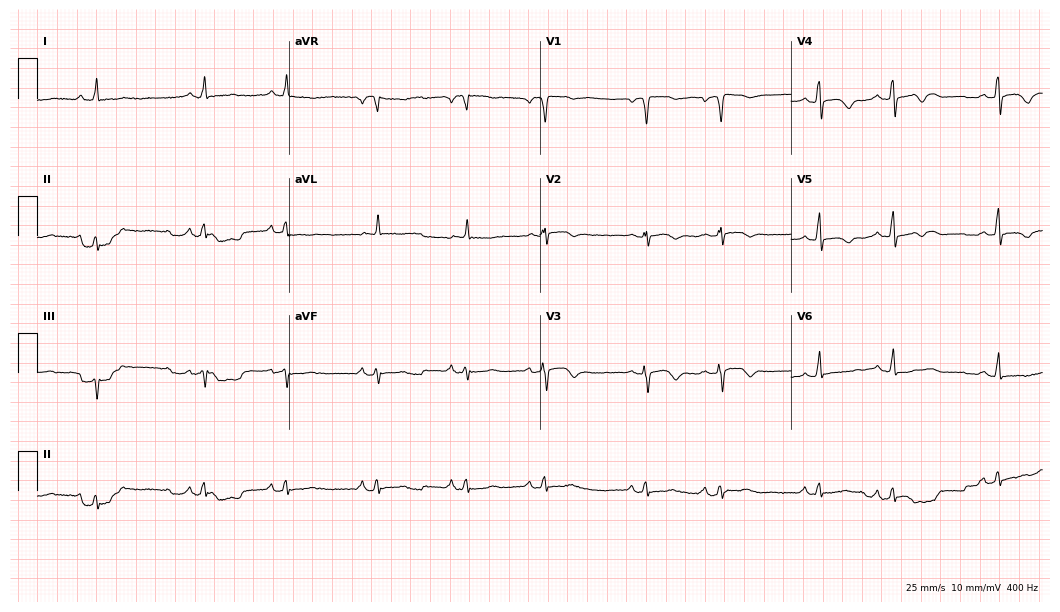
Electrocardiogram, an 86-year-old woman. Of the six screened findings (first-degree AV block, right bundle branch block, left bundle branch block, sinus bradycardia, atrial fibrillation, sinus tachycardia), none is recorded. Findings outside these six are not listed.